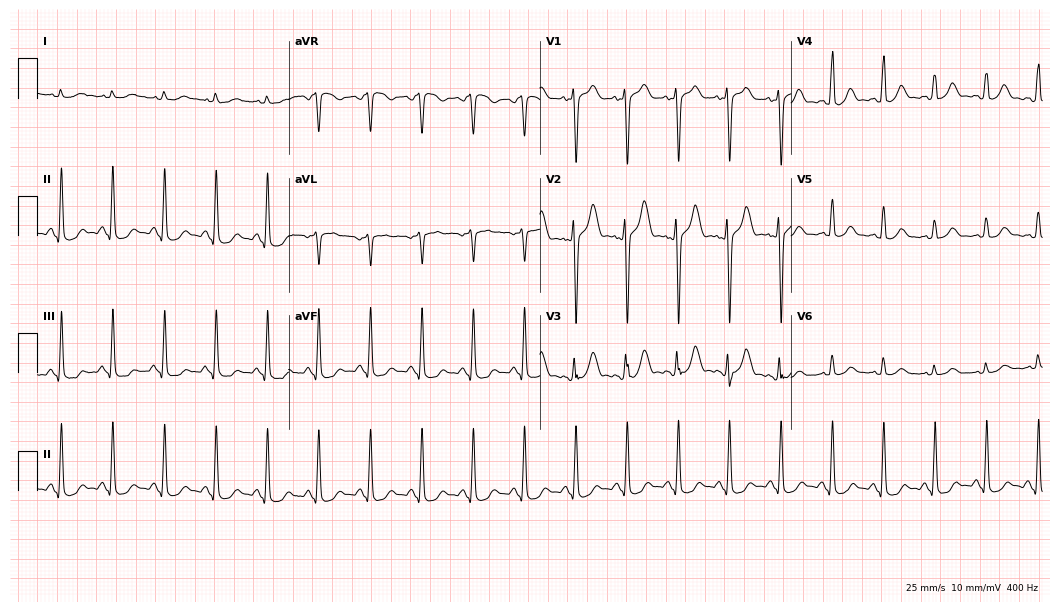
Standard 12-lead ECG recorded from a 41-year-old male patient. The tracing shows sinus tachycardia (a sinus rate of 100 beats per minute or more).